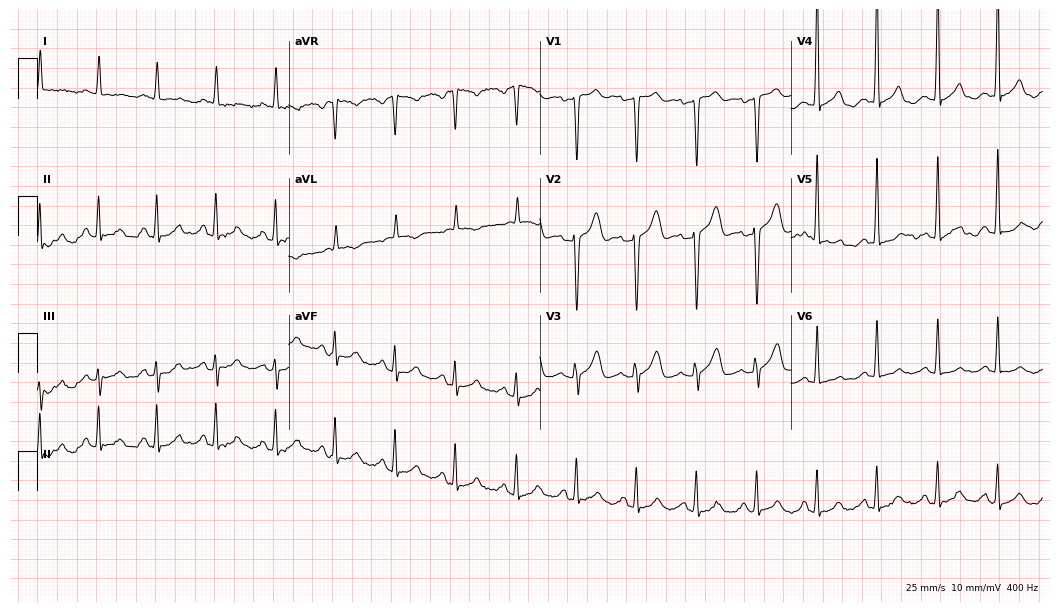
12-lead ECG from a female patient, 85 years old (10.2-second recording at 400 Hz). No first-degree AV block, right bundle branch block (RBBB), left bundle branch block (LBBB), sinus bradycardia, atrial fibrillation (AF) or sinus tachycardia recorded for this tracing. Other findings, if any, are not listed.